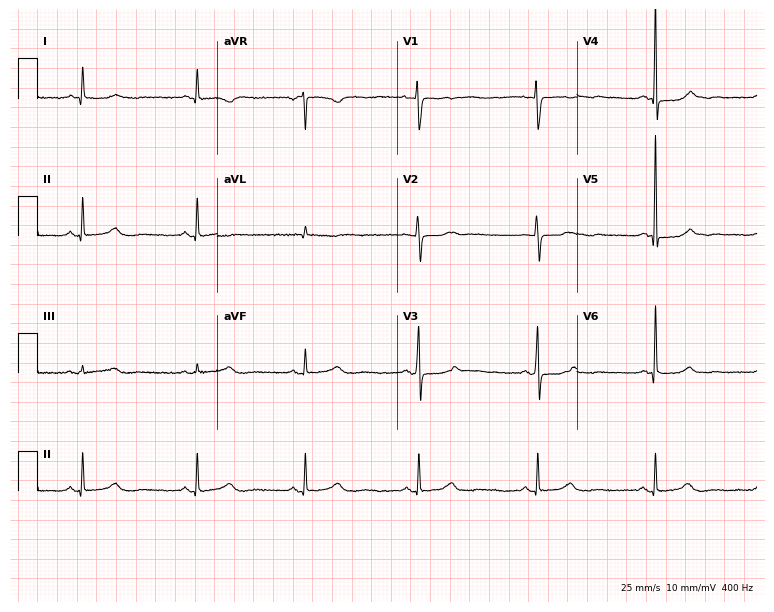
ECG (7.3-second recording at 400 Hz) — a woman, 46 years old. Screened for six findings — first-degree AV block, right bundle branch block, left bundle branch block, sinus bradycardia, atrial fibrillation, sinus tachycardia — none is recorded.